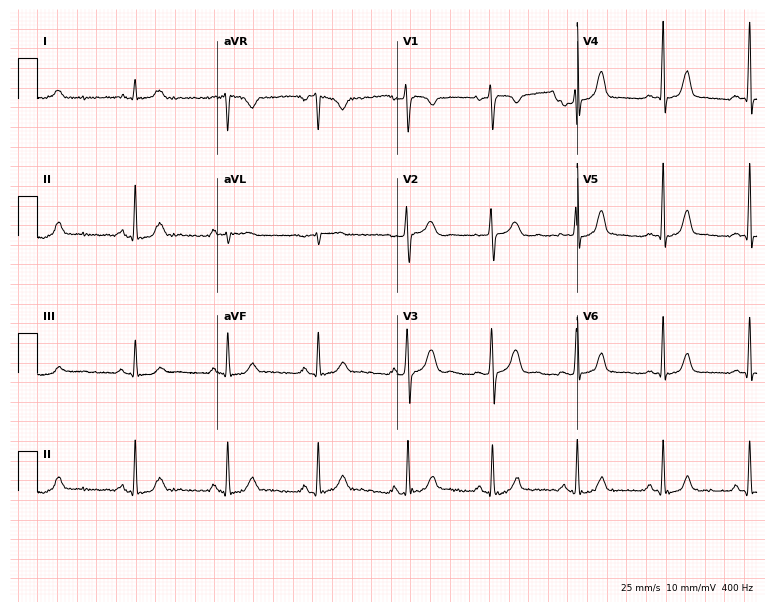
12-lead ECG from a woman, 39 years old. No first-degree AV block, right bundle branch block (RBBB), left bundle branch block (LBBB), sinus bradycardia, atrial fibrillation (AF) or sinus tachycardia recorded for this tracing. Only these six findings were labelled.